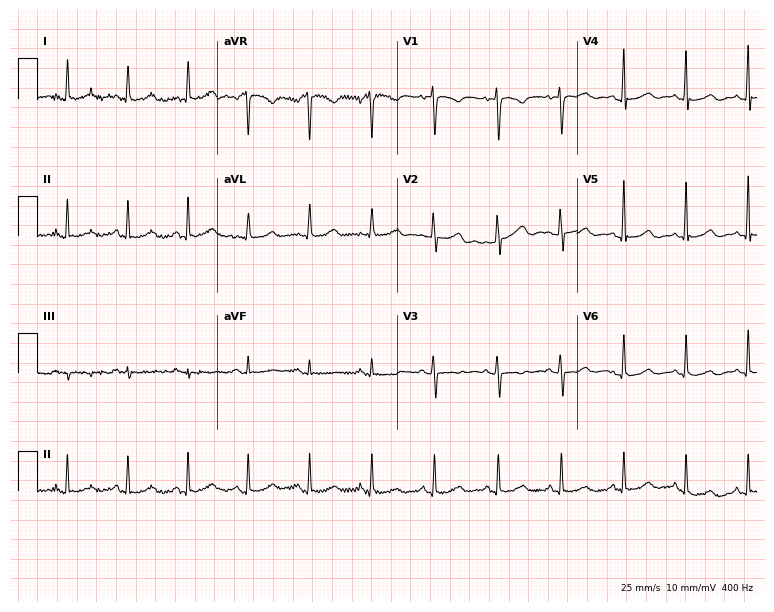
ECG (7.3-second recording at 400 Hz) — a 35-year-old female. Labelled as a normal ECG.